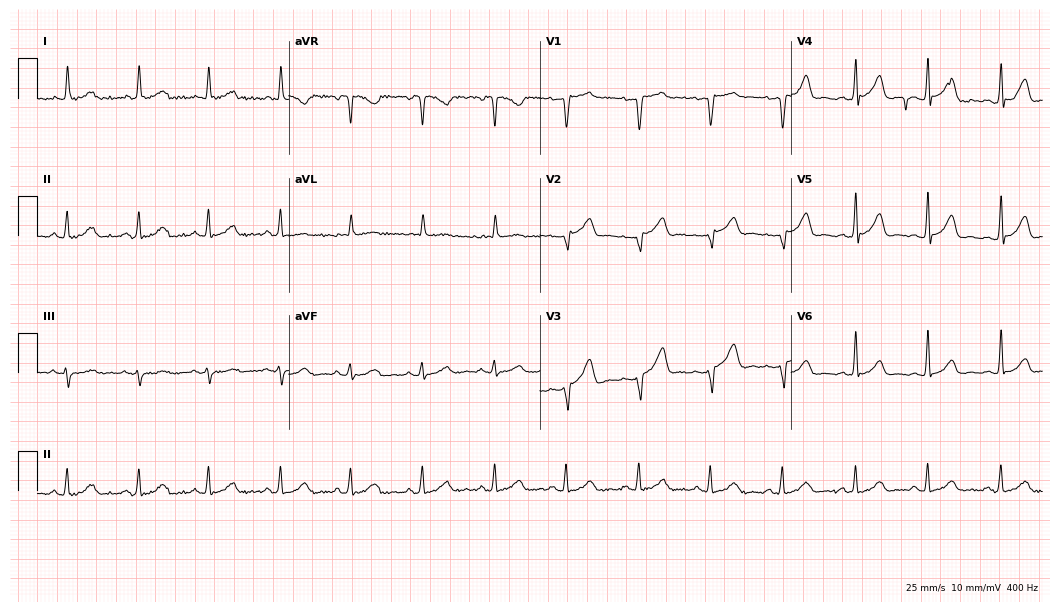
12-lead ECG from a woman, 39 years old. Labelled as a normal ECG.